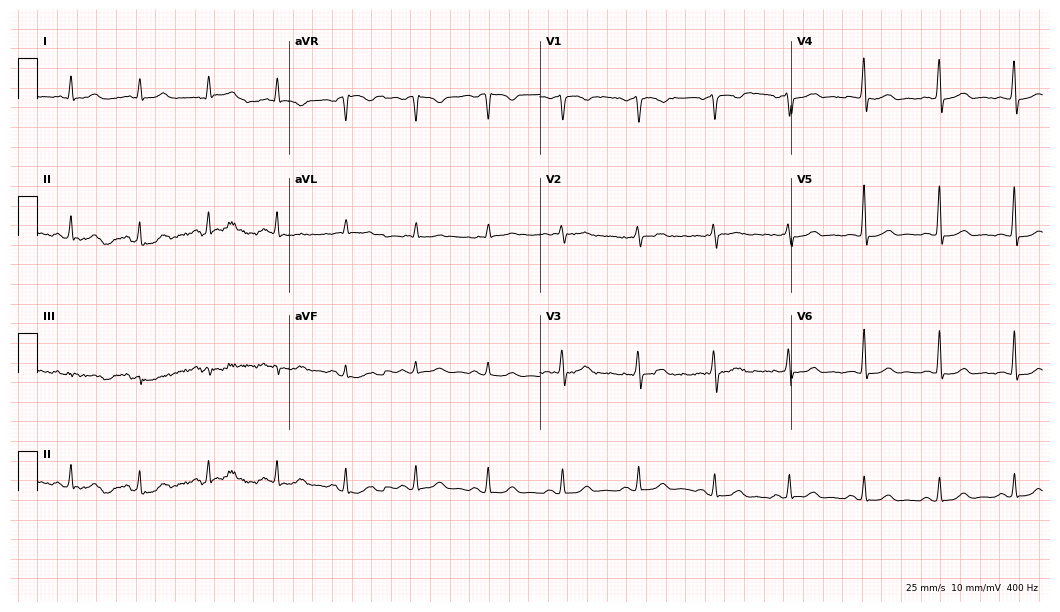
Standard 12-lead ECG recorded from a 52-year-old male (10.2-second recording at 400 Hz). Read as a normal ECG.